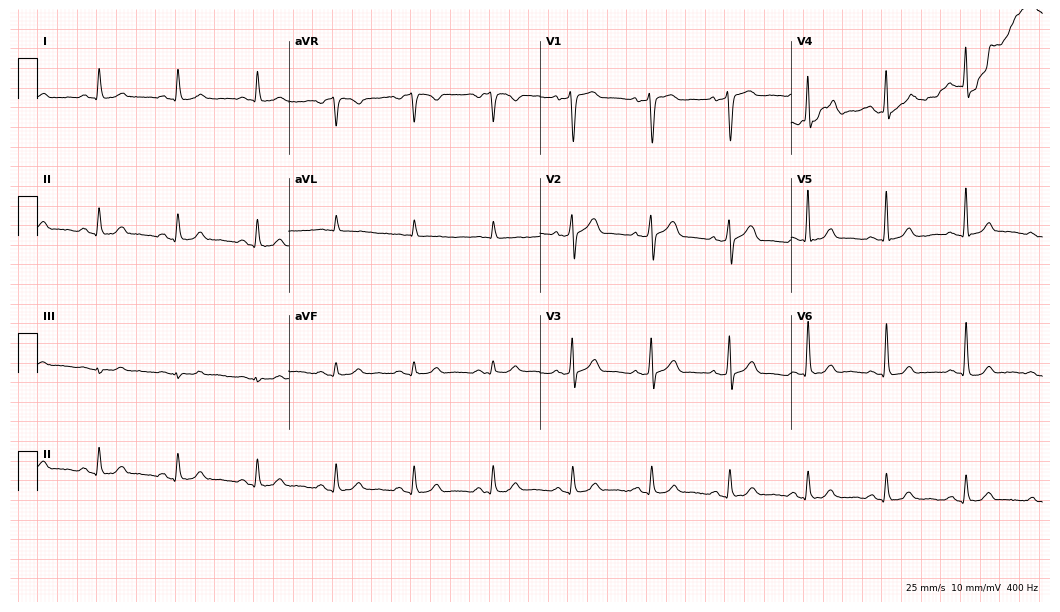
Electrocardiogram, a man, 56 years old. Overall reading on record: normal ECG.